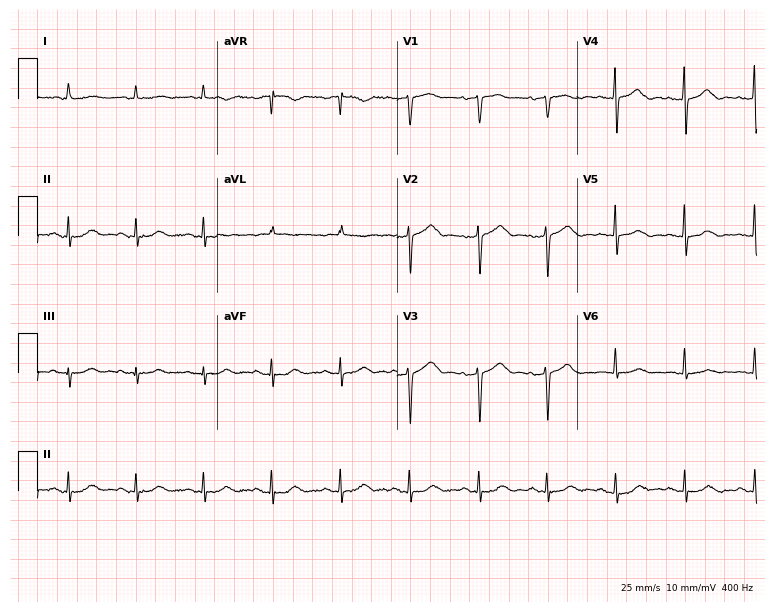
12-lead ECG (7.3-second recording at 400 Hz) from a female patient, 84 years old. Screened for six findings — first-degree AV block, right bundle branch block, left bundle branch block, sinus bradycardia, atrial fibrillation, sinus tachycardia — none is recorded. Only these six findings were labelled.